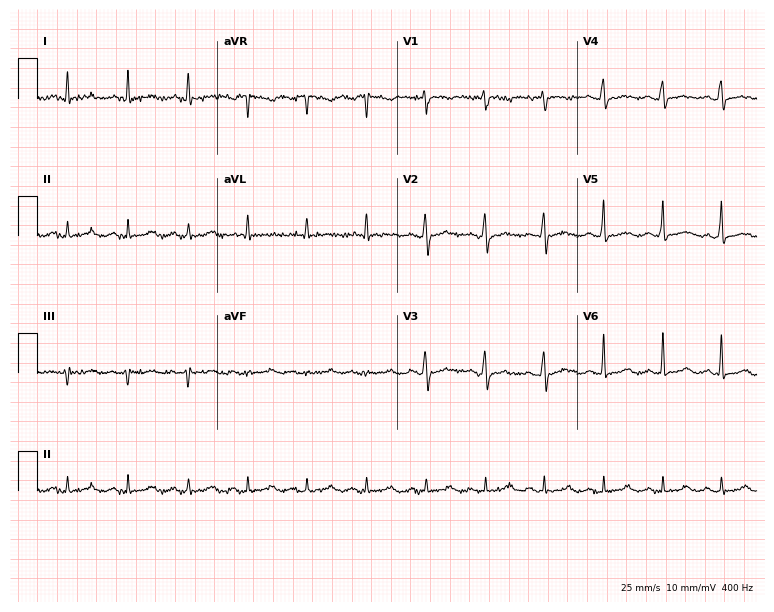
12-lead ECG from a 38-year-old female. Recorded interpretation: within normal limits.